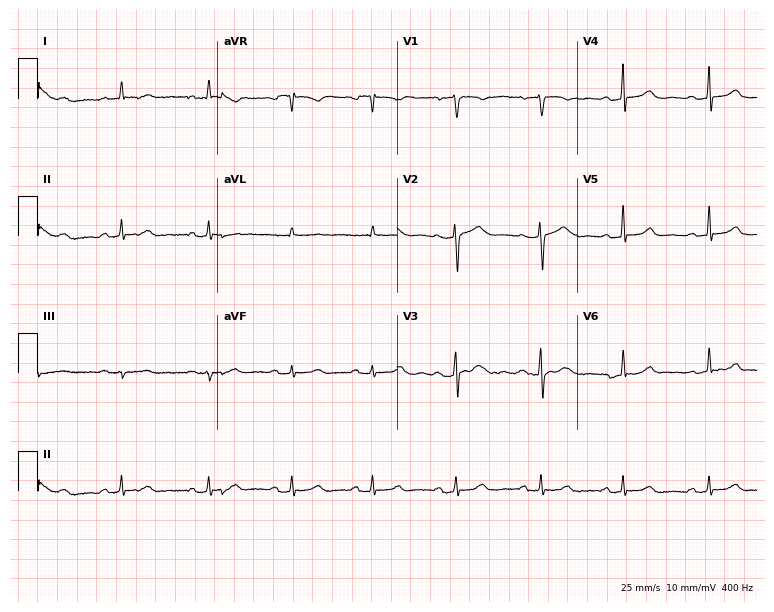
12-lead ECG from a female patient, 54 years old. Recorded interpretation: within normal limits.